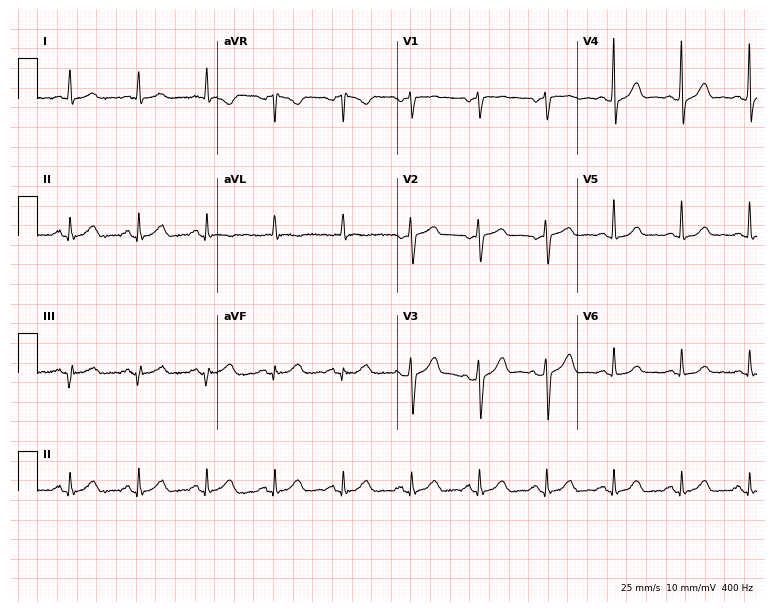
Standard 12-lead ECG recorded from a woman, 81 years old. None of these six findings is recorded: first-degree AV block, right bundle branch block (RBBB), left bundle branch block (LBBB), sinus bradycardia, atrial fibrillation (AF), sinus tachycardia.